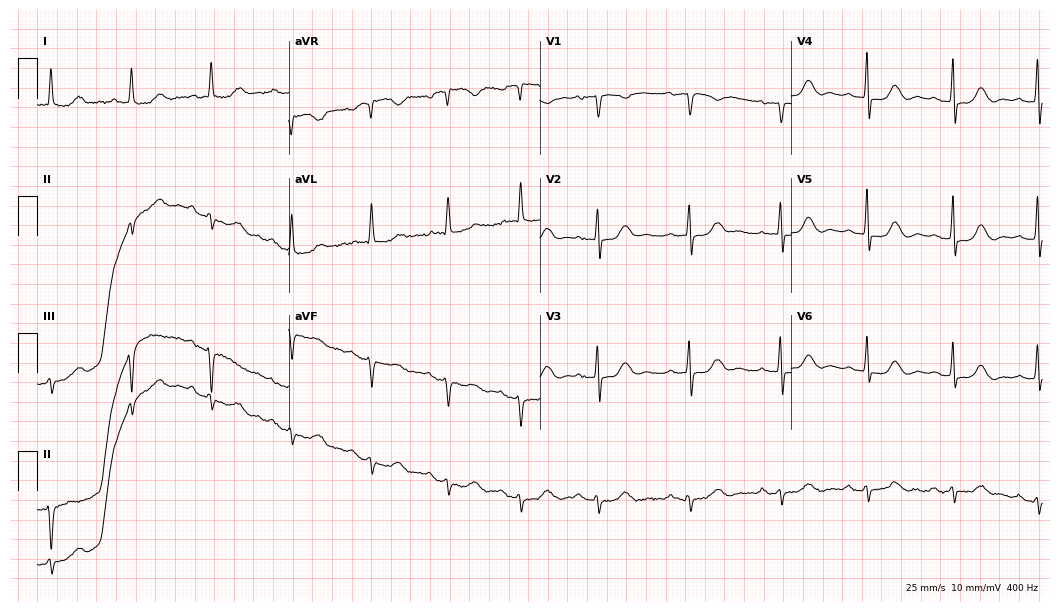
12-lead ECG from a 67-year-old woman. No first-degree AV block, right bundle branch block, left bundle branch block, sinus bradycardia, atrial fibrillation or sinus tachycardia recorded for this tracing. Other findings, if any, are not listed.